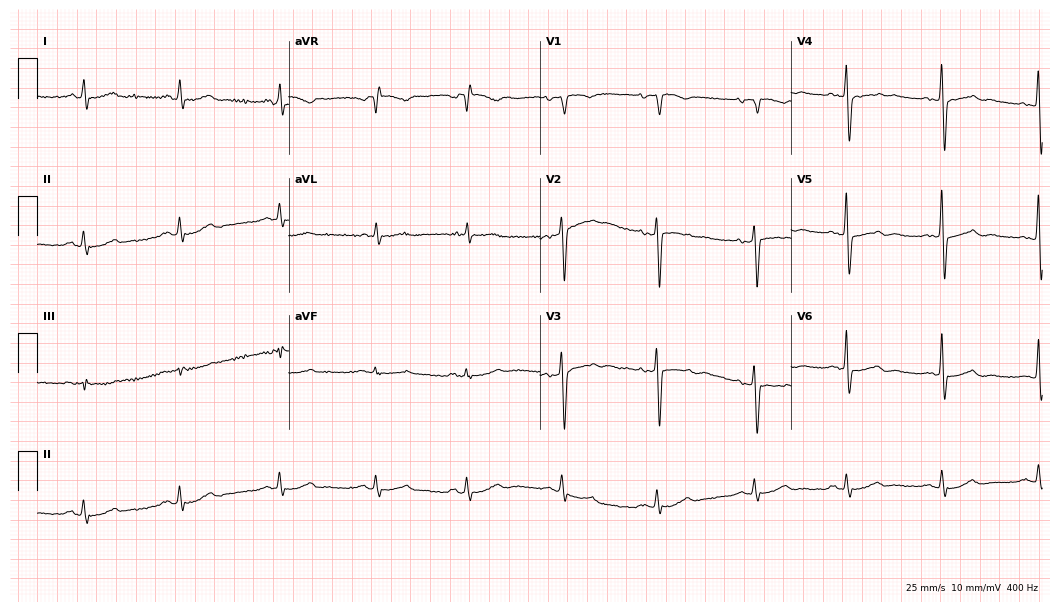
Electrocardiogram, a female, 65 years old. Overall reading on record: normal ECG.